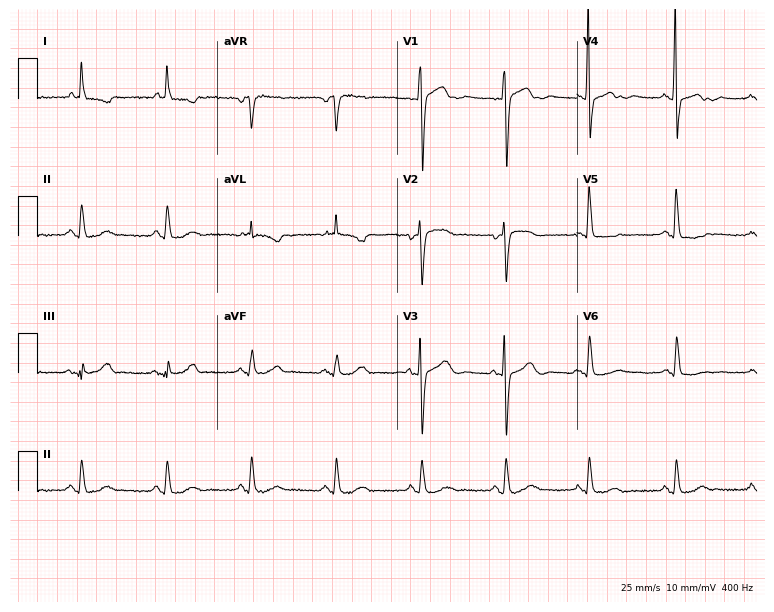
Electrocardiogram (7.3-second recording at 400 Hz), a female patient, 84 years old. Of the six screened findings (first-degree AV block, right bundle branch block (RBBB), left bundle branch block (LBBB), sinus bradycardia, atrial fibrillation (AF), sinus tachycardia), none is recorded.